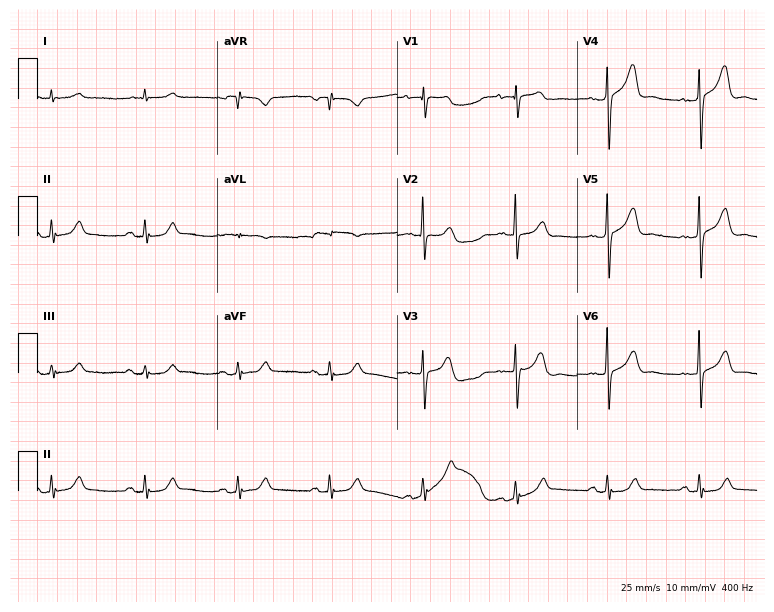
12-lead ECG from a man, 76 years old. Screened for six findings — first-degree AV block, right bundle branch block, left bundle branch block, sinus bradycardia, atrial fibrillation, sinus tachycardia — none is recorded.